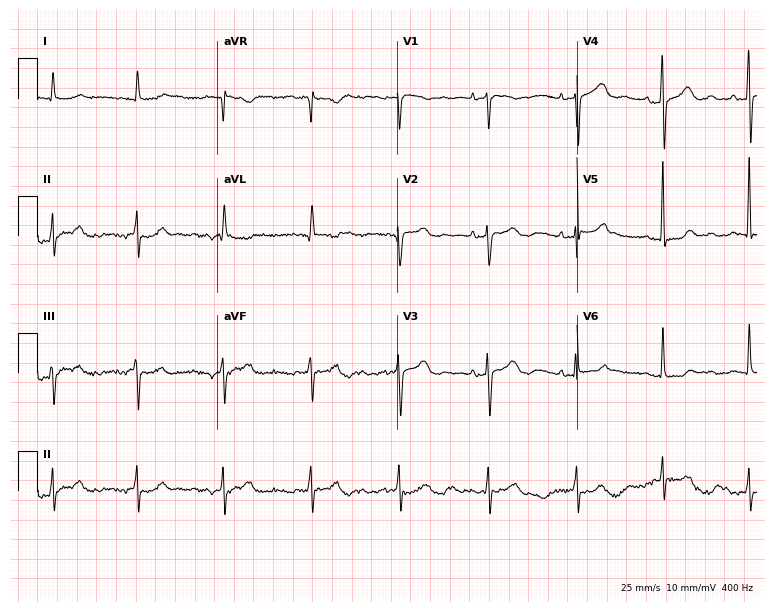
12-lead ECG from an 83-year-old female patient. No first-degree AV block, right bundle branch block (RBBB), left bundle branch block (LBBB), sinus bradycardia, atrial fibrillation (AF) or sinus tachycardia recorded for this tracing.